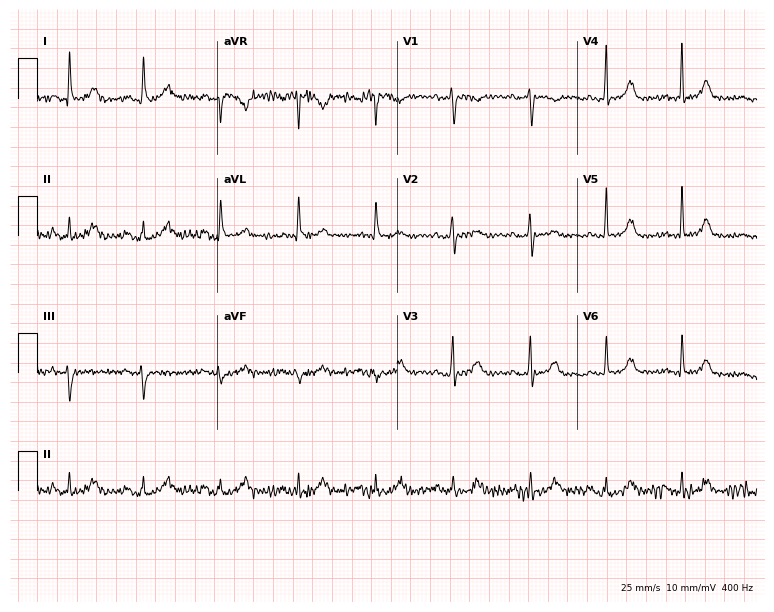
Electrocardiogram, a female, 76 years old. Of the six screened findings (first-degree AV block, right bundle branch block, left bundle branch block, sinus bradycardia, atrial fibrillation, sinus tachycardia), none is recorded. Other findings, if any, are not listed.